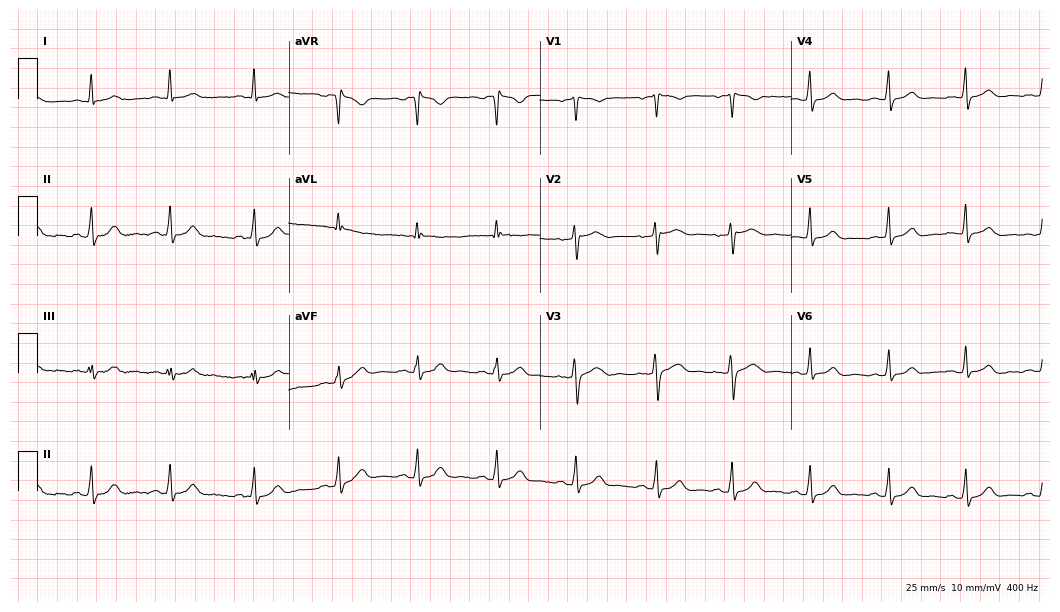
Electrocardiogram (10.2-second recording at 400 Hz), a female, 31 years old. Overall reading on record: normal ECG.